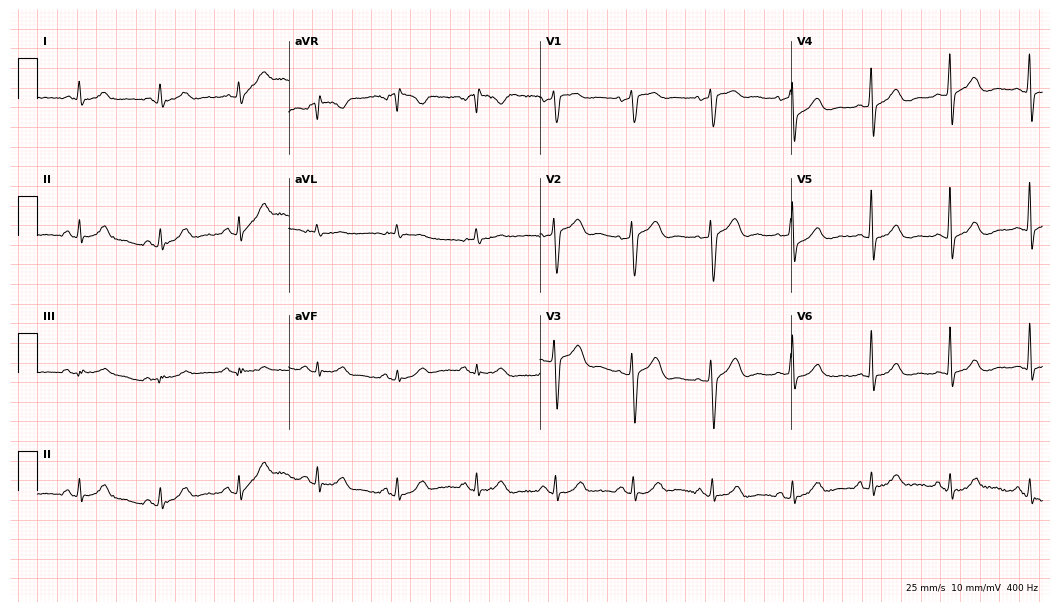
Standard 12-lead ECG recorded from a male, 63 years old. Read as a normal ECG.